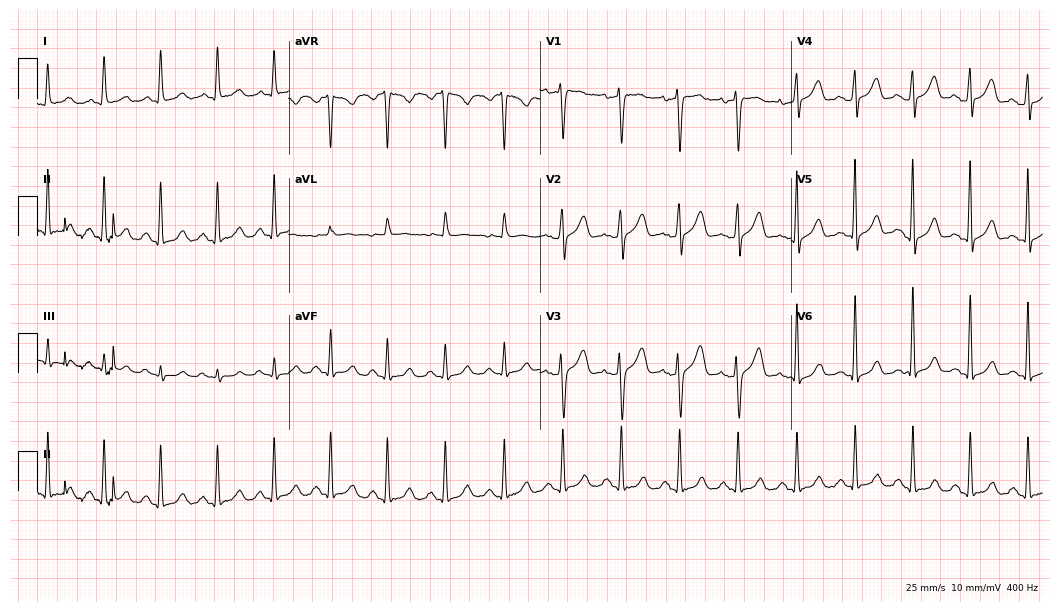
Standard 12-lead ECG recorded from a woman, 45 years old (10.2-second recording at 400 Hz). The tracing shows sinus tachycardia (a sinus rate of 100 beats per minute or more).